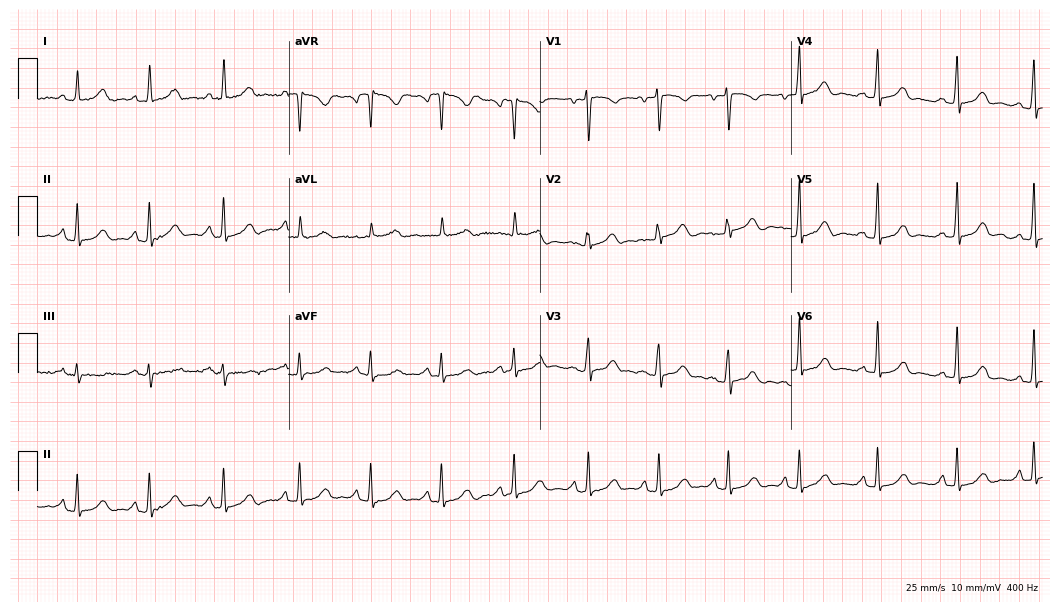
ECG (10.2-second recording at 400 Hz) — a woman, 38 years old. Screened for six findings — first-degree AV block, right bundle branch block, left bundle branch block, sinus bradycardia, atrial fibrillation, sinus tachycardia — none is recorded.